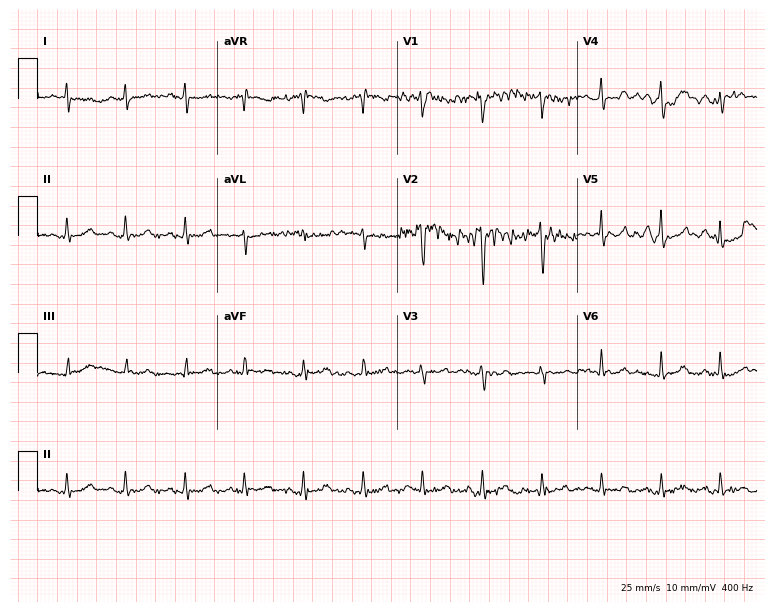
12-lead ECG from a woman, 20 years old (7.3-second recording at 400 Hz). No first-degree AV block, right bundle branch block, left bundle branch block, sinus bradycardia, atrial fibrillation or sinus tachycardia recorded for this tracing.